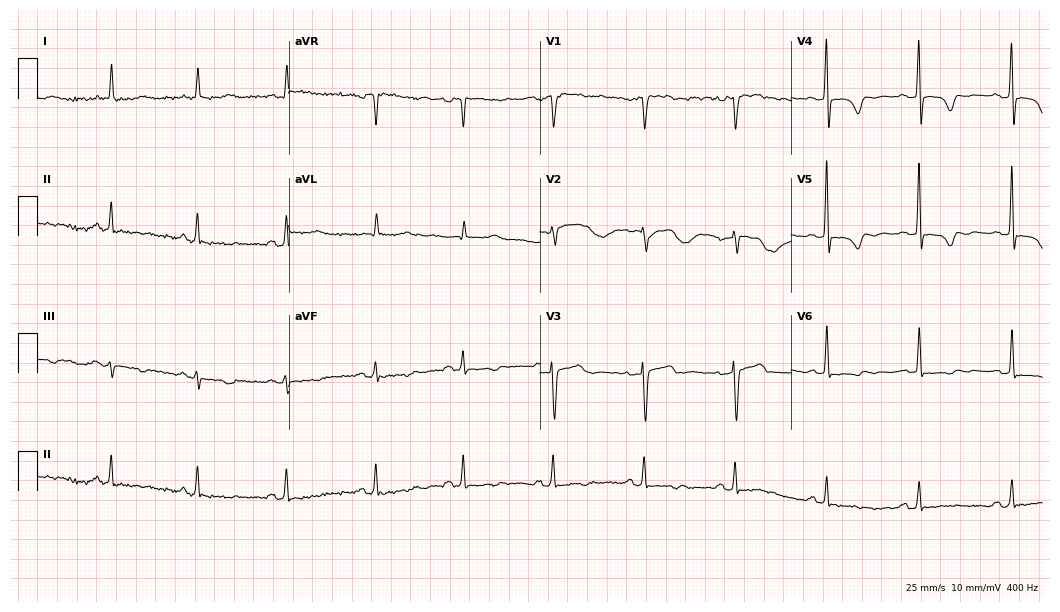
12-lead ECG (10.2-second recording at 400 Hz) from a 70-year-old female patient. Screened for six findings — first-degree AV block, right bundle branch block, left bundle branch block, sinus bradycardia, atrial fibrillation, sinus tachycardia — none is recorded. Other findings, if any, are not listed.